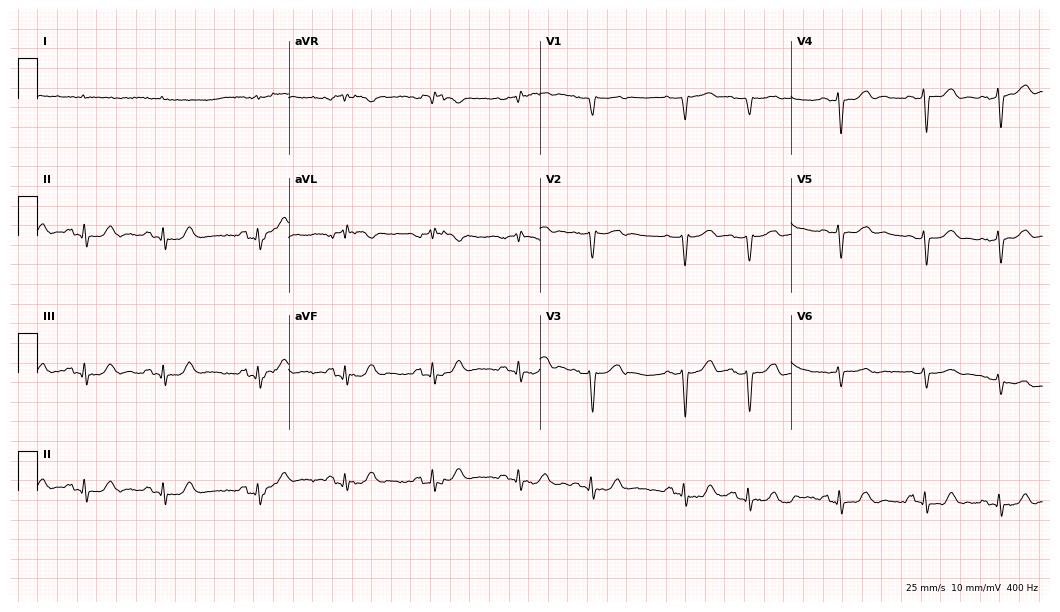
ECG (10.2-second recording at 400 Hz) — a man, 76 years old. Screened for six findings — first-degree AV block, right bundle branch block, left bundle branch block, sinus bradycardia, atrial fibrillation, sinus tachycardia — none is recorded.